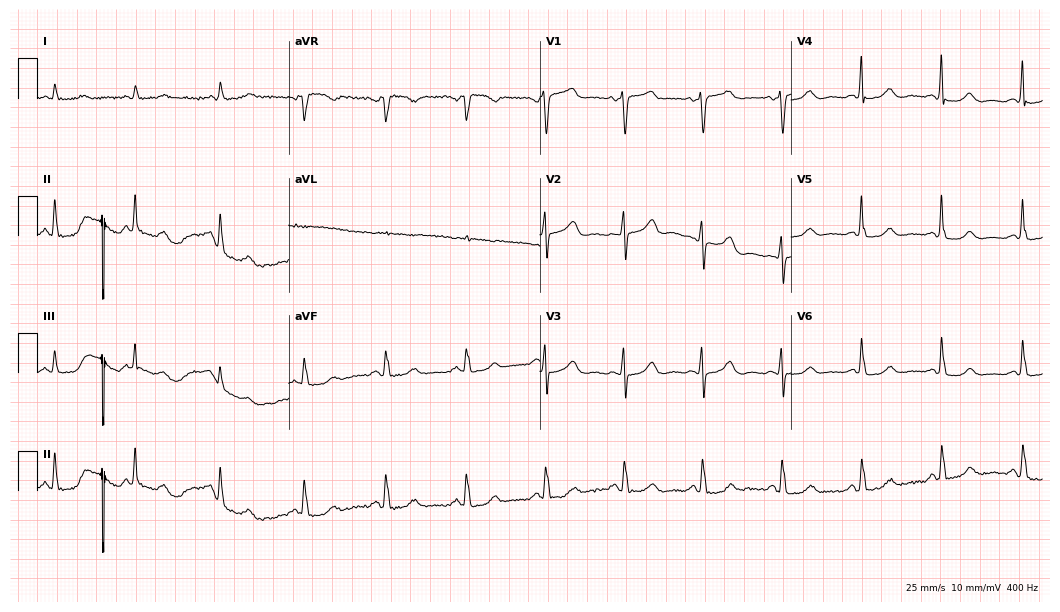
Standard 12-lead ECG recorded from a female, 72 years old (10.2-second recording at 400 Hz). None of these six findings is recorded: first-degree AV block, right bundle branch block, left bundle branch block, sinus bradycardia, atrial fibrillation, sinus tachycardia.